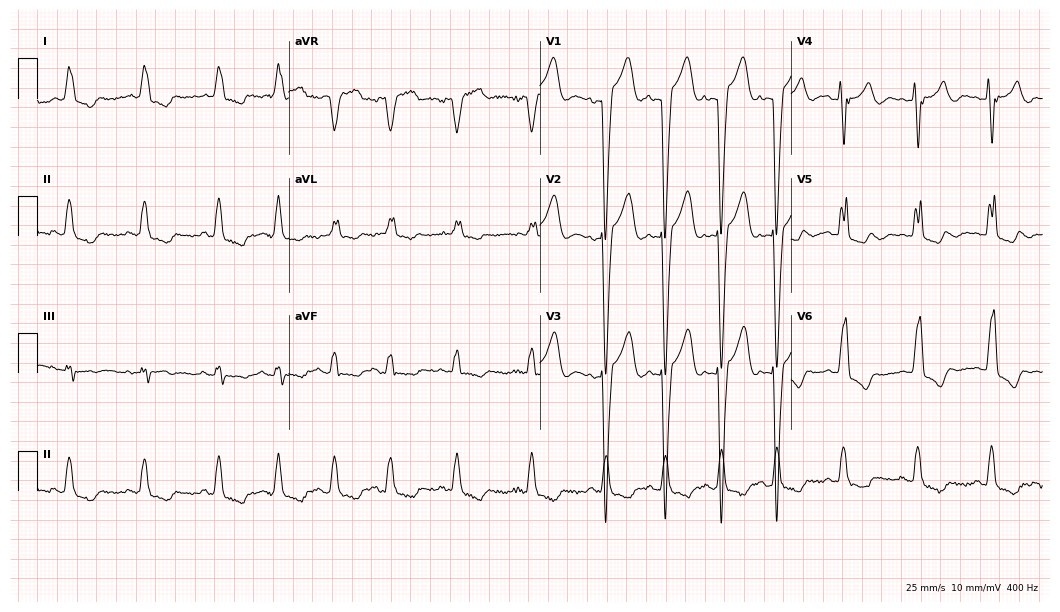
Electrocardiogram, an 81-year-old female. Interpretation includes left bundle branch block.